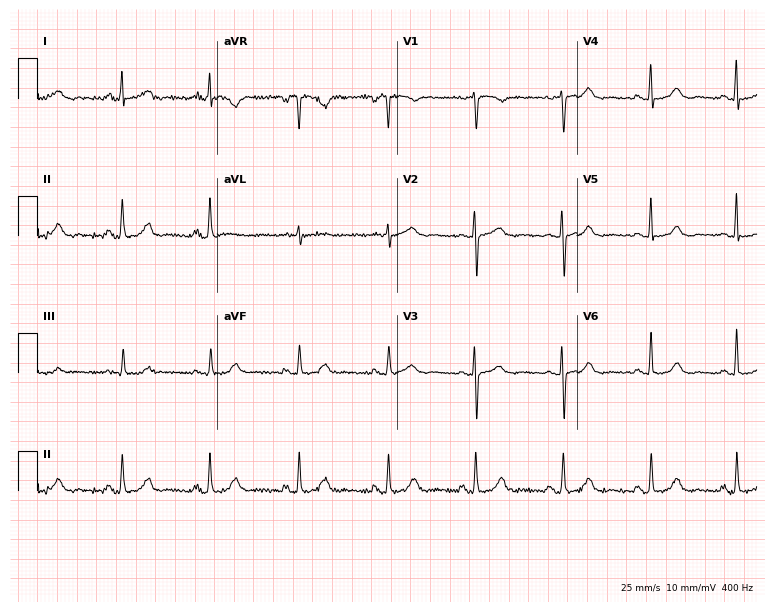
Resting 12-lead electrocardiogram (7.3-second recording at 400 Hz). Patient: a 64-year-old female. Read as a normal ECG.